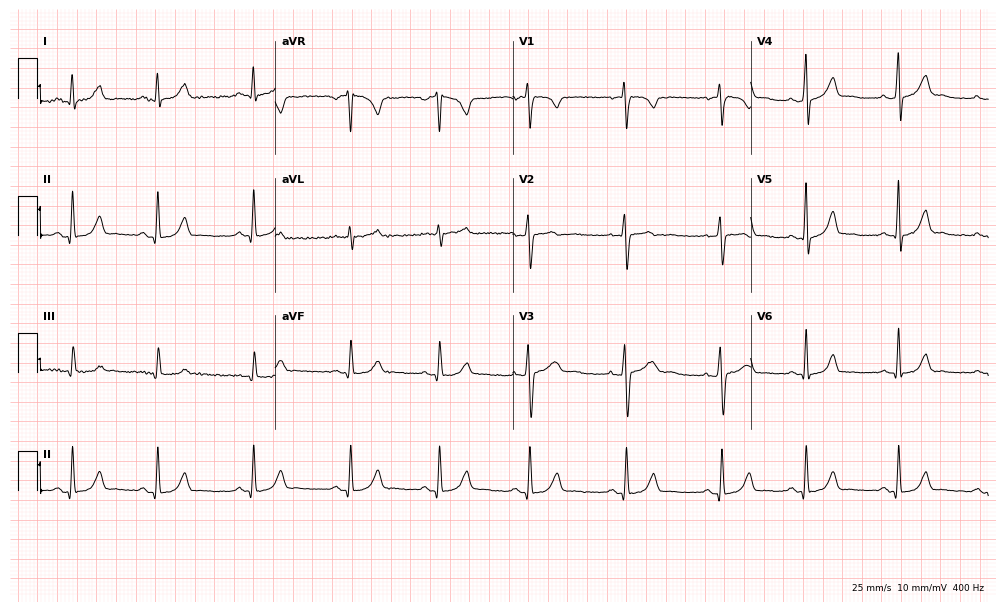
ECG (9.7-second recording at 400 Hz) — a female patient, 27 years old. Labelled as a normal ECG.